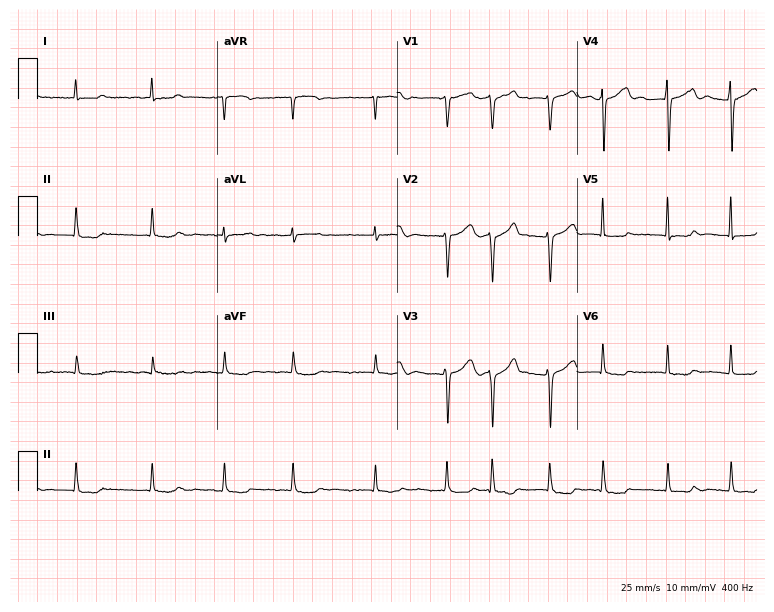
Standard 12-lead ECG recorded from a 73-year-old male patient (7.3-second recording at 400 Hz). The tracing shows atrial fibrillation (AF).